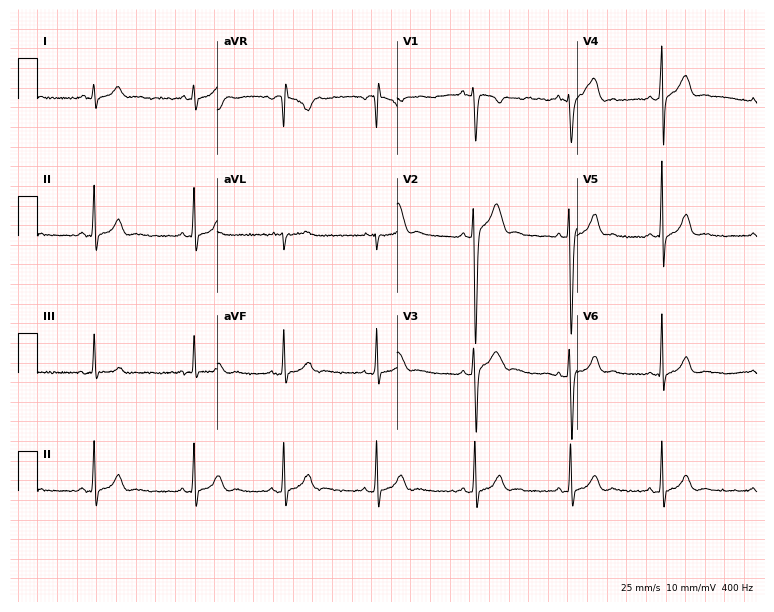
ECG — a man, 18 years old. Labelled as a normal ECG.